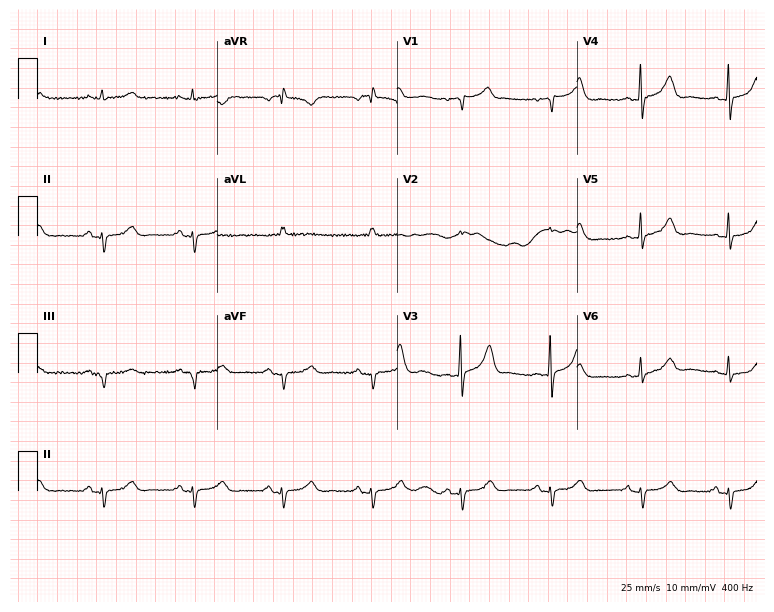
12-lead ECG from a man, 78 years old (7.3-second recording at 400 Hz). No first-degree AV block, right bundle branch block, left bundle branch block, sinus bradycardia, atrial fibrillation or sinus tachycardia recorded for this tracing.